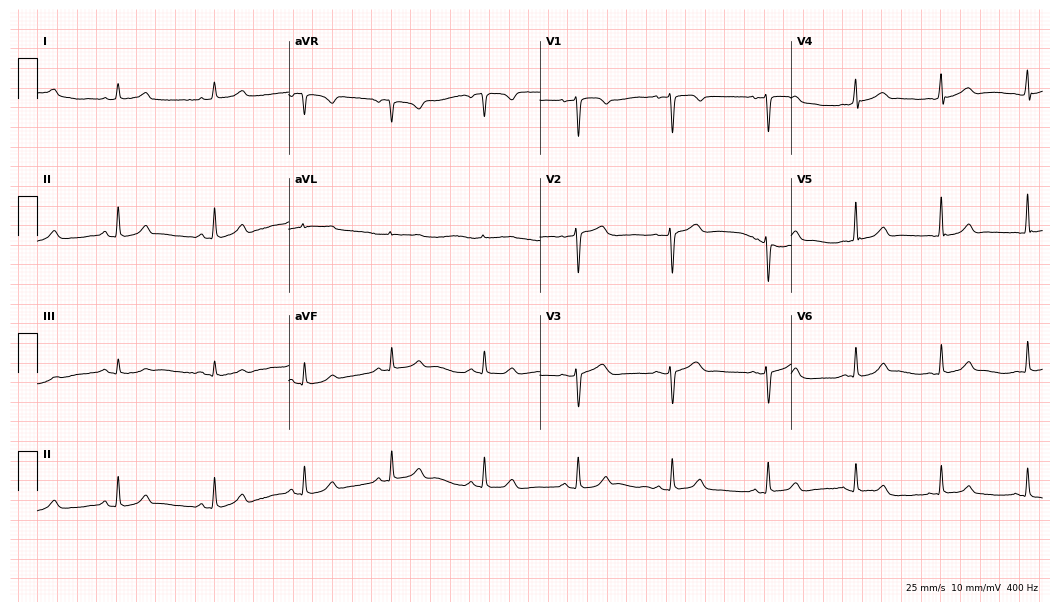
12-lead ECG from a 34-year-old woman. Labelled as a normal ECG.